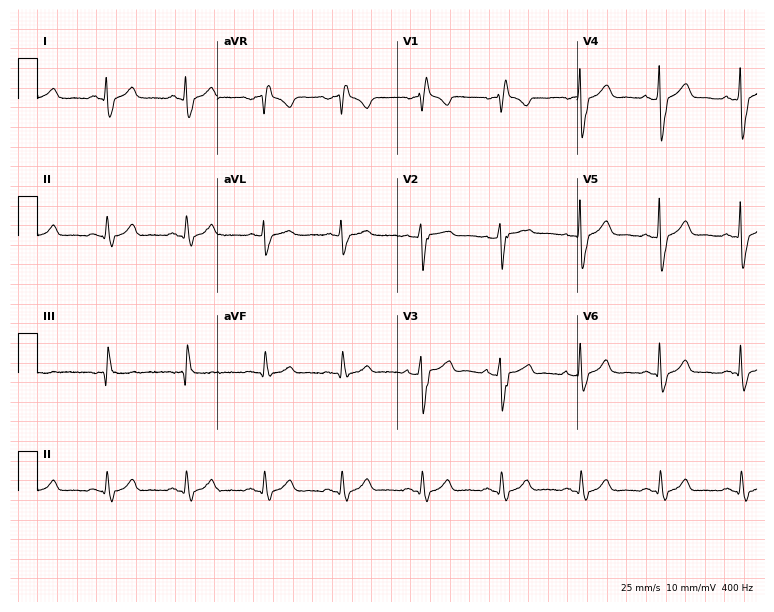
Standard 12-lead ECG recorded from a male, 44 years old. The tracing shows right bundle branch block.